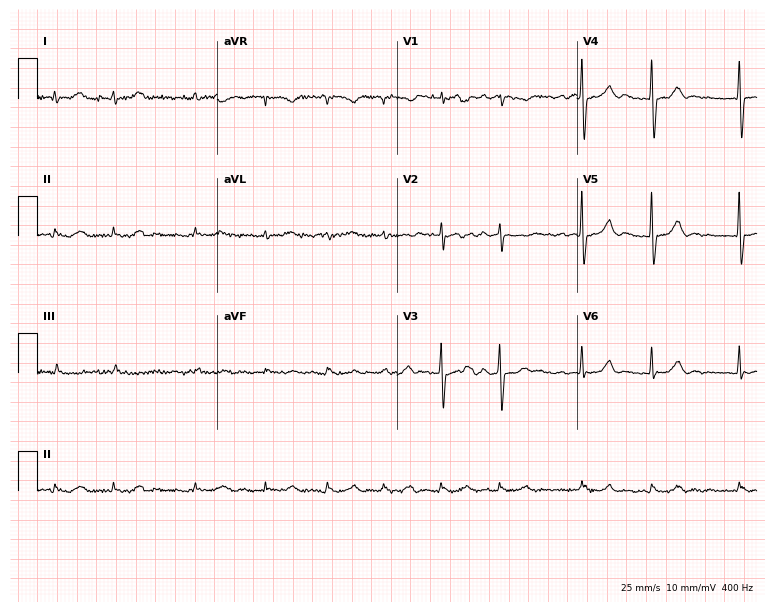
12-lead ECG from an 85-year-old female (7.3-second recording at 400 Hz). Shows atrial fibrillation (AF).